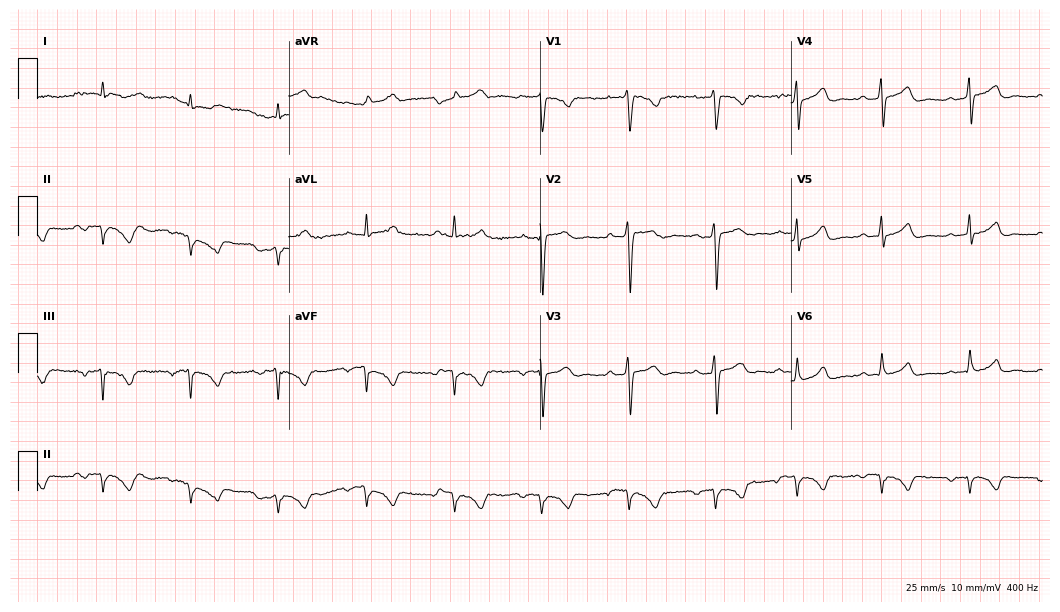
12-lead ECG from a 24-year-old female patient. Recorded interpretation: within normal limits.